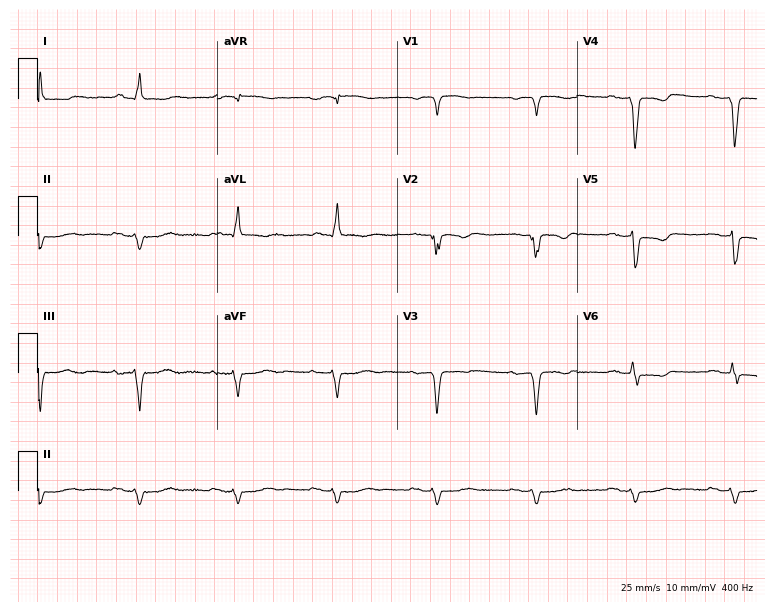
Electrocardiogram, a male patient, 79 years old. Of the six screened findings (first-degree AV block, right bundle branch block, left bundle branch block, sinus bradycardia, atrial fibrillation, sinus tachycardia), none is recorded.